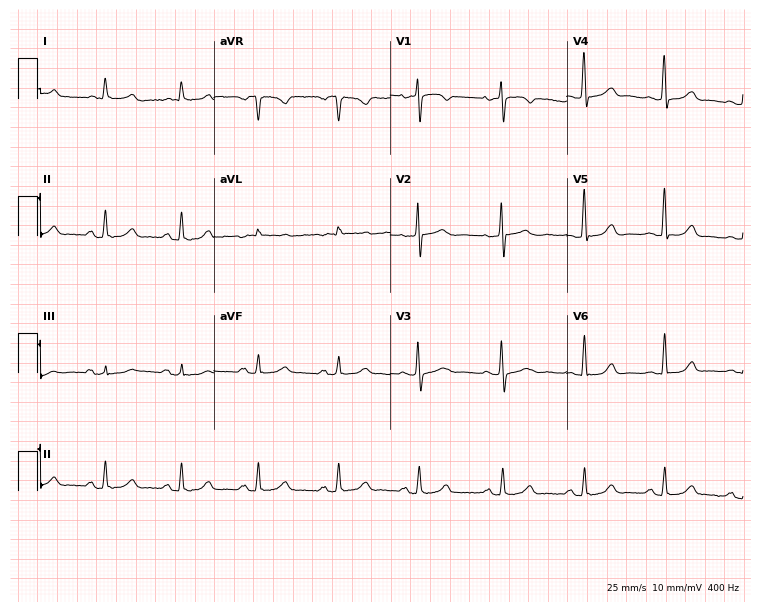
ECG — a female, 77 years old. Labelled as a normal ECG.